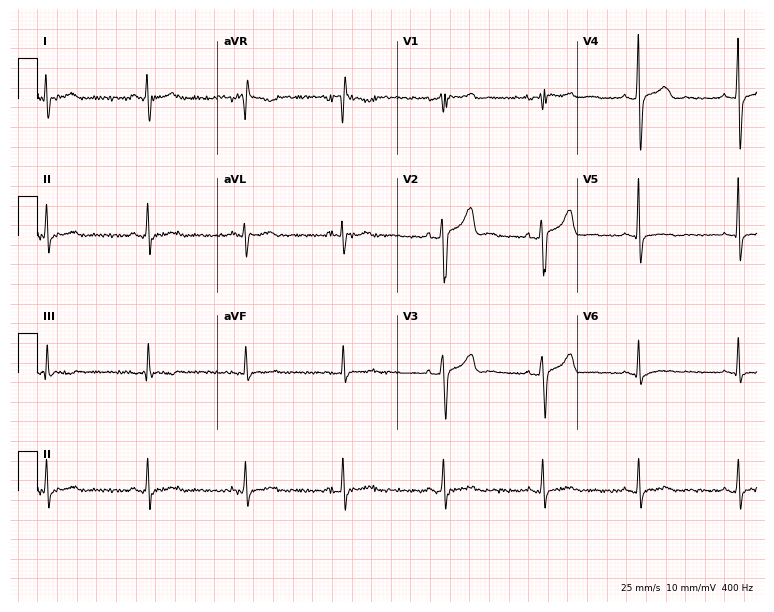
Resting 12-lead electrocardiogram. Patient: a 48-year-old male. Read as a normal ECG.